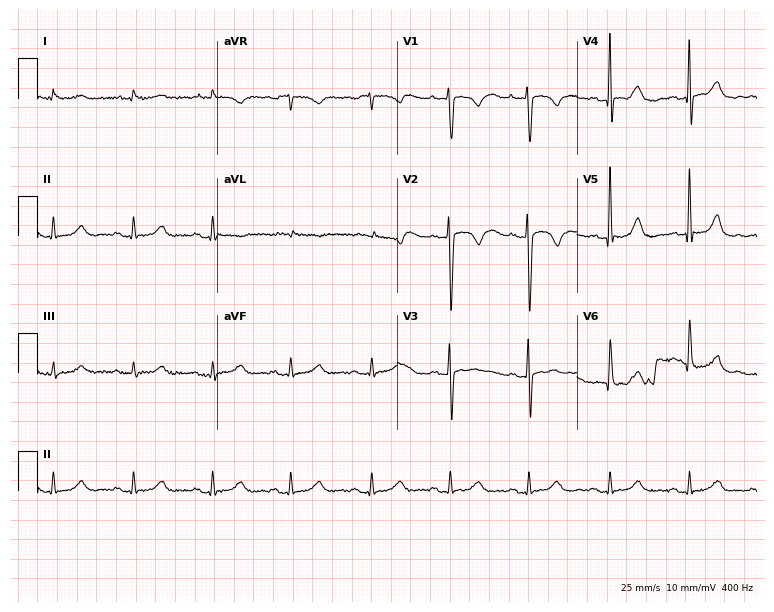
12-lead ECG from an 80-year-old woman (7.3-second recording at 400 Hz). Recorded interpretation: within normal limits.